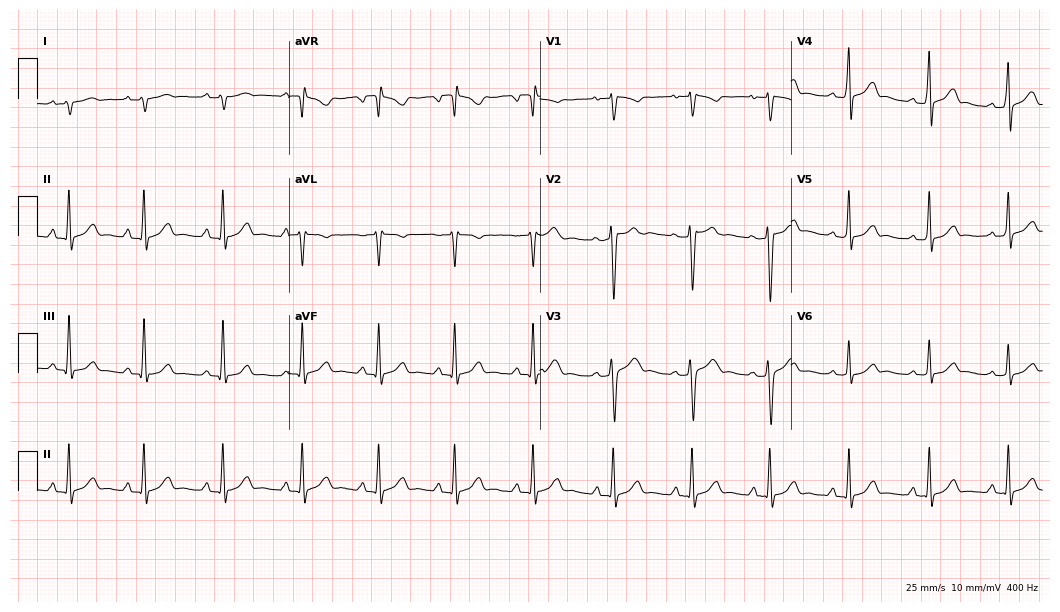
Standard 12-lead ECG recorded from a 22-year-old male. Read as a normal ECG.